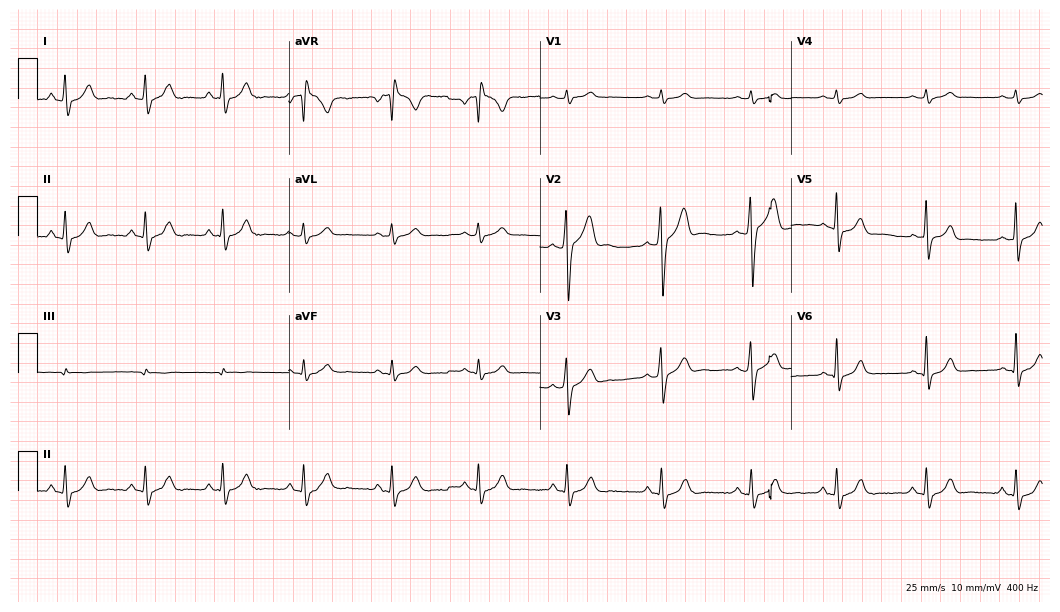
Electrocardiogram, a male, 24 years old. Of the six screened findings (first-degree AV block, right bundle branch block, left bundle branch block, sinus bradycardia, atrial fibrillation, sinus tachycardia), none is recorded.